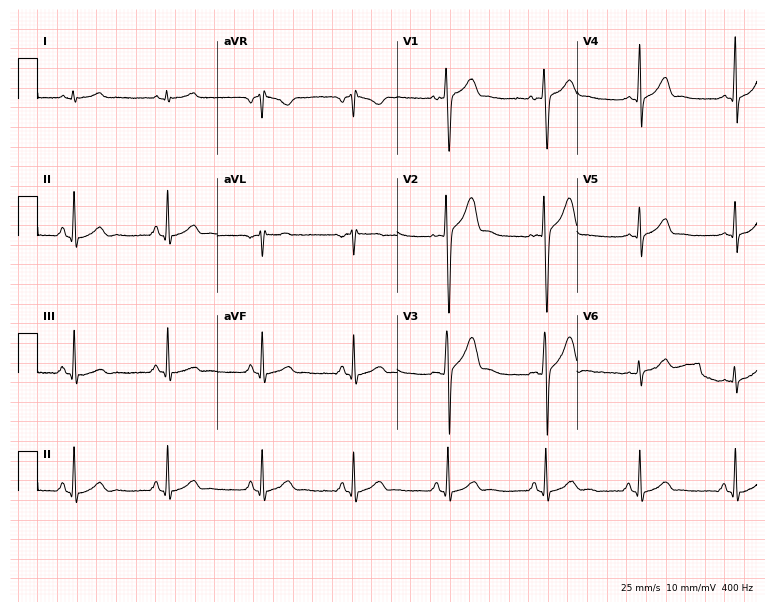
12-lead ECG from a male patient, 28 years old. Recorded interpretation: within normal limits.